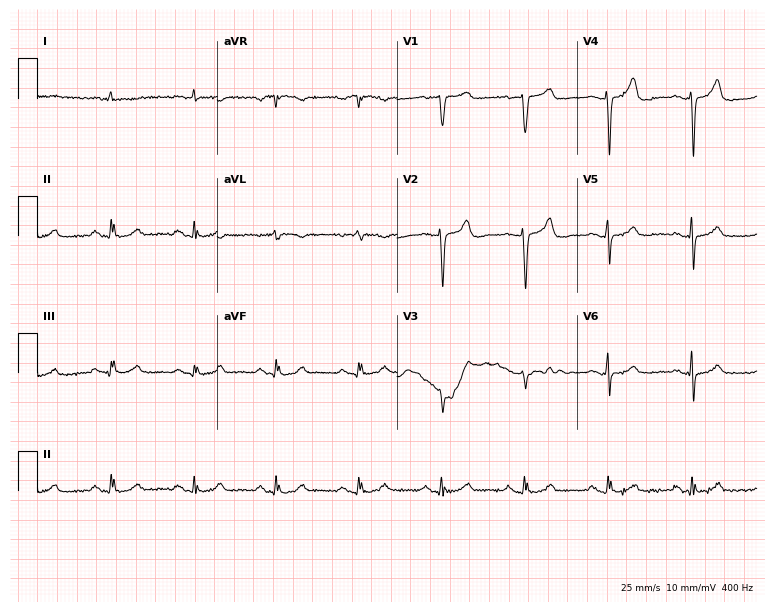
12-lead ECG from a 77-year-old man. Screened for six findings — first-degree AV block, right bundle branch block (RBBB), left bundle branch block (LBBB), sinus bradycardia, atrial fibrillation (AF), sinus tachycardia — none is recorded. Only these six findings were labelled.